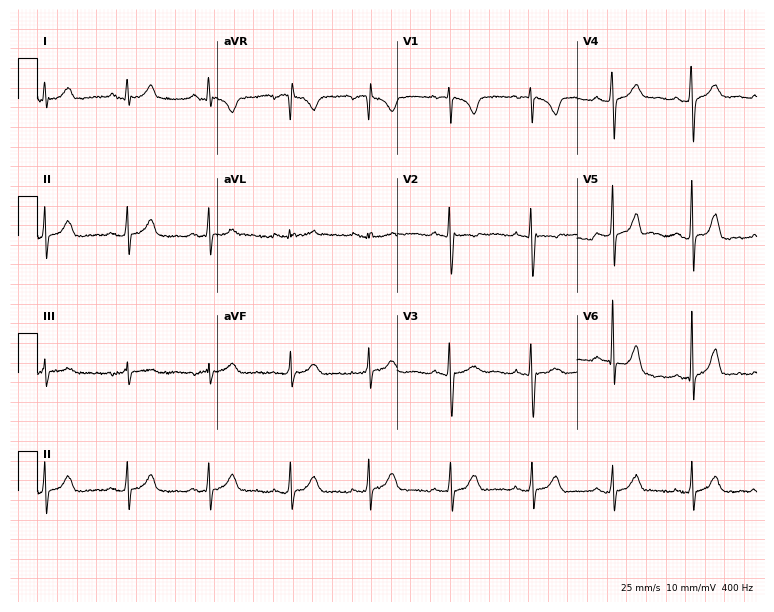
12-lead ECG from a female, 36 years old (7.3-second recording at 400 Hz). Recorded interpretation: within normal limits.